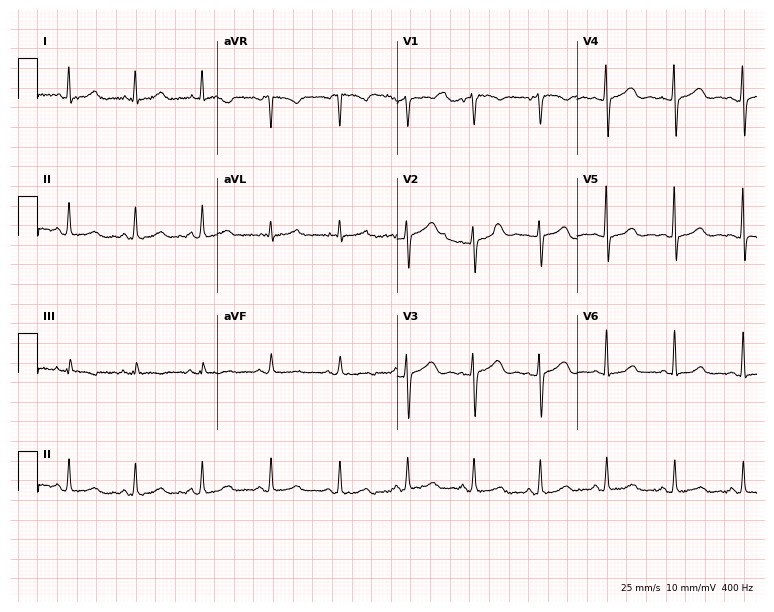
12-lead ECG from a 55-year-old female (7.3-second recording at 400 Hz). No first-degree AV block, right bundle branch block, left bundle branch block, sinus bradycardia, atrial fibrillation or sinus tachycardia recorded for this tracing. Only these six findings were labelled.